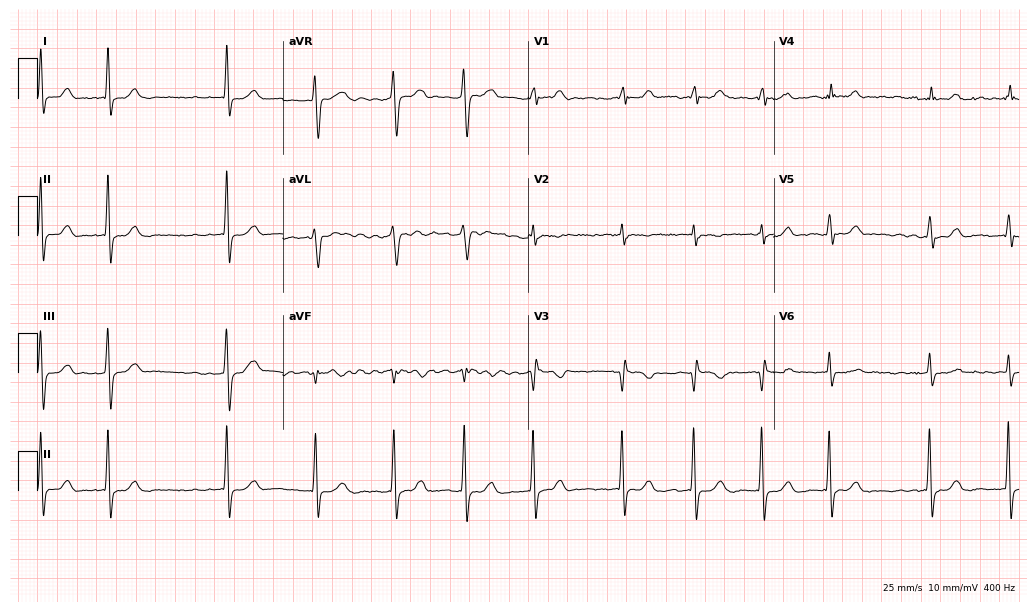
ECG (10-second recording at 400 Hz) — a female, 59 years old. Findings include atrial fibrillation.